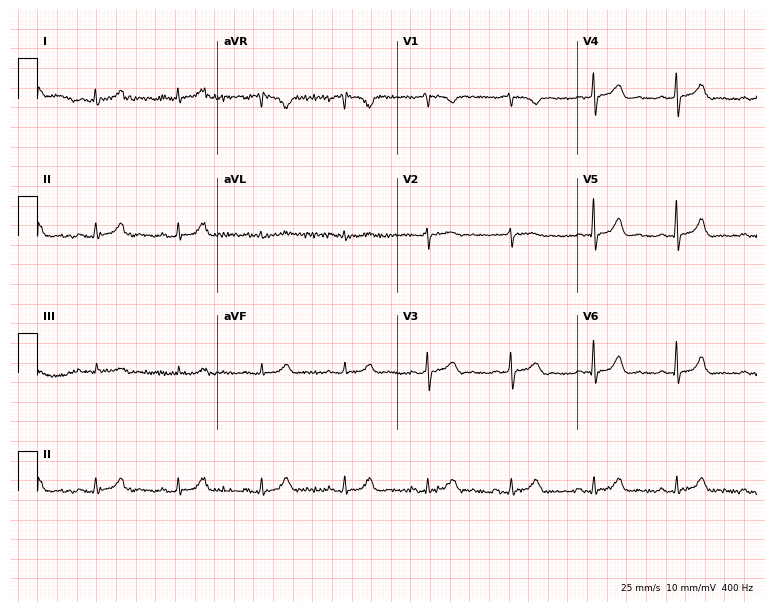
12-lead ECG (7.3-second recording at 400 Hz) from a male patient, 77 years old. Labelled as a normal ECG.